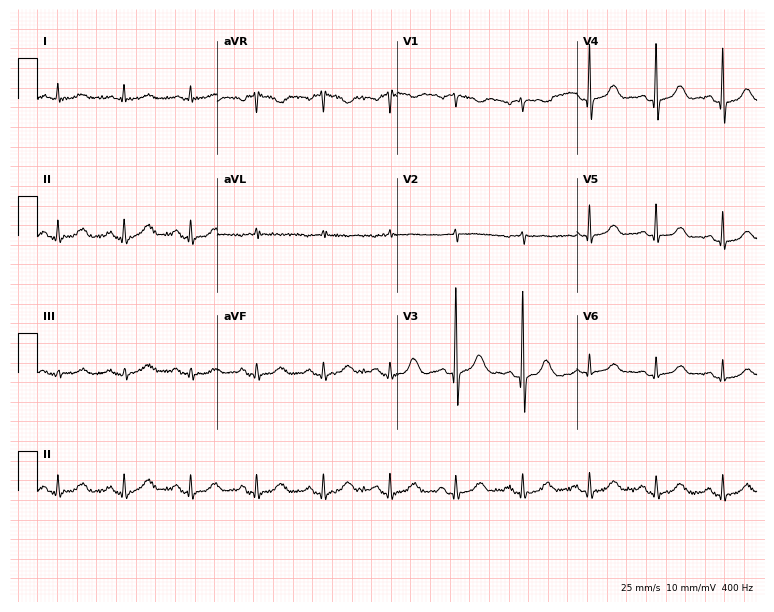
Standard 12-lead ECG recorded from a woman, 74 years old. Read as a normal ECG.